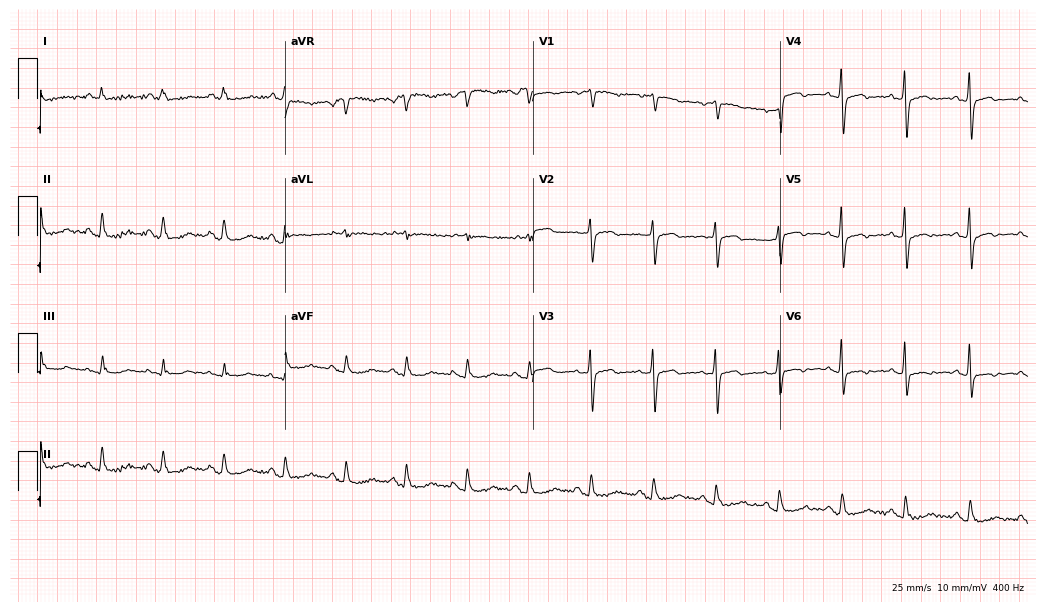
12-lead ECG from a female patient, 67 years old. Screened for six findings — first-degree AV block, right bundle branch block, left bundle branch block, sinus bradycardia, atrial fibrillation, sinus tachycardia — none is recorded. Only these six findings were labelled.